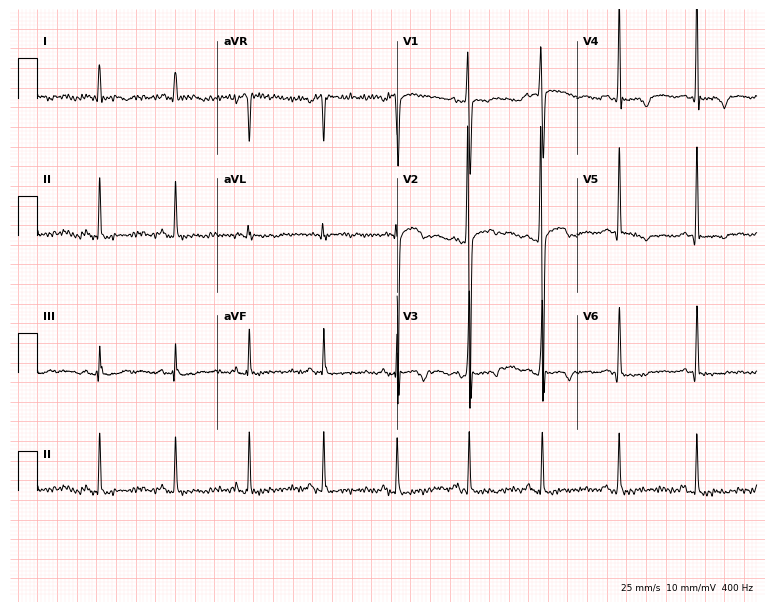
Standard 12-lead ECG recorded from a male, 27 years old. None of these six findings is recorded: first-degree AV block, right bundle branch block (RBBB), left bundle branch block (LBBB), sinus bradycardia, atrial fibrillation (AF), sinus tachycardia.